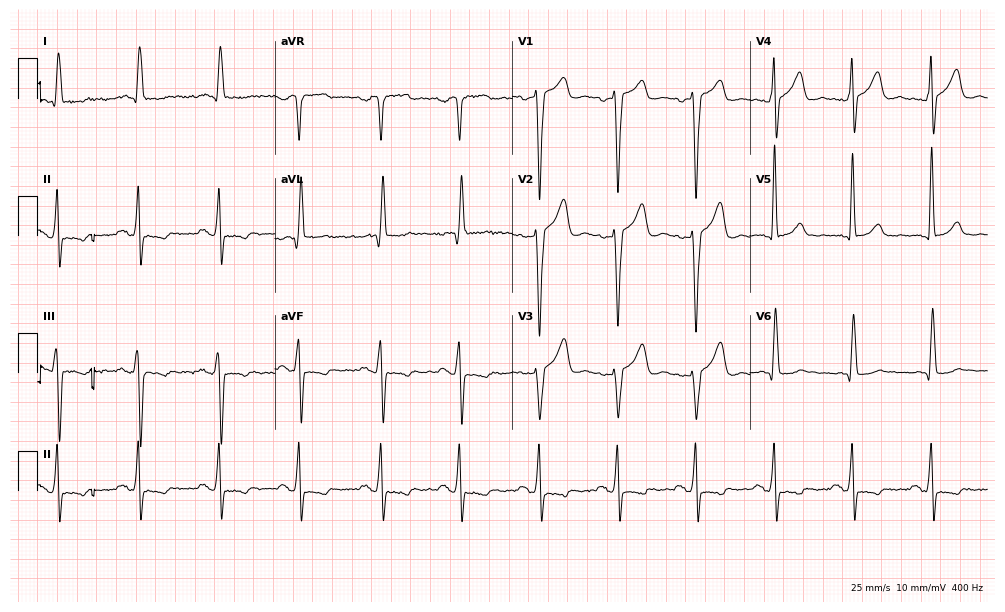
12-lead ECG from a man, 67 years old. Screened for six findings — first-degree AV block, right bundle branch block, left bundle branch block, sinus bradycardia, atrial fibrillation, sinus tachycardia — none is recorded. Other findings, if any, are not listed.